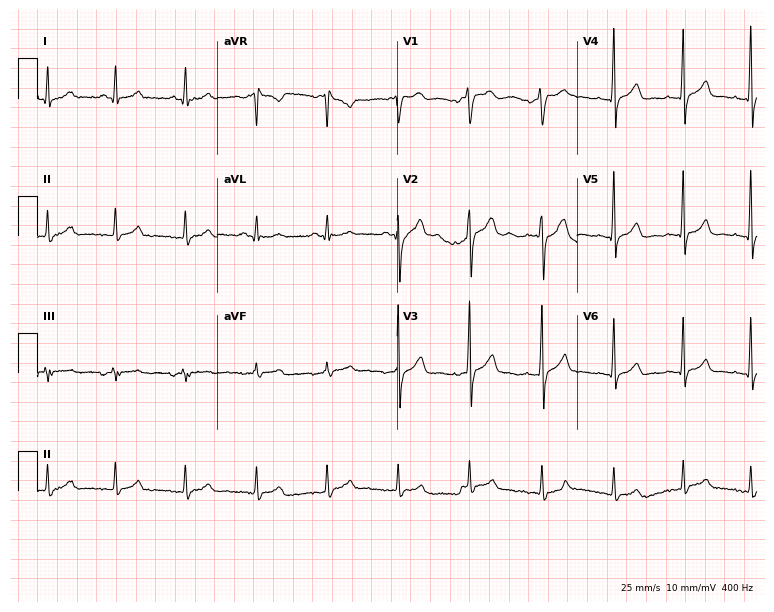
ECG (7.3-second recording at 400 Hz) — a 27-year-old male patient. Labelled as a normal ECG.